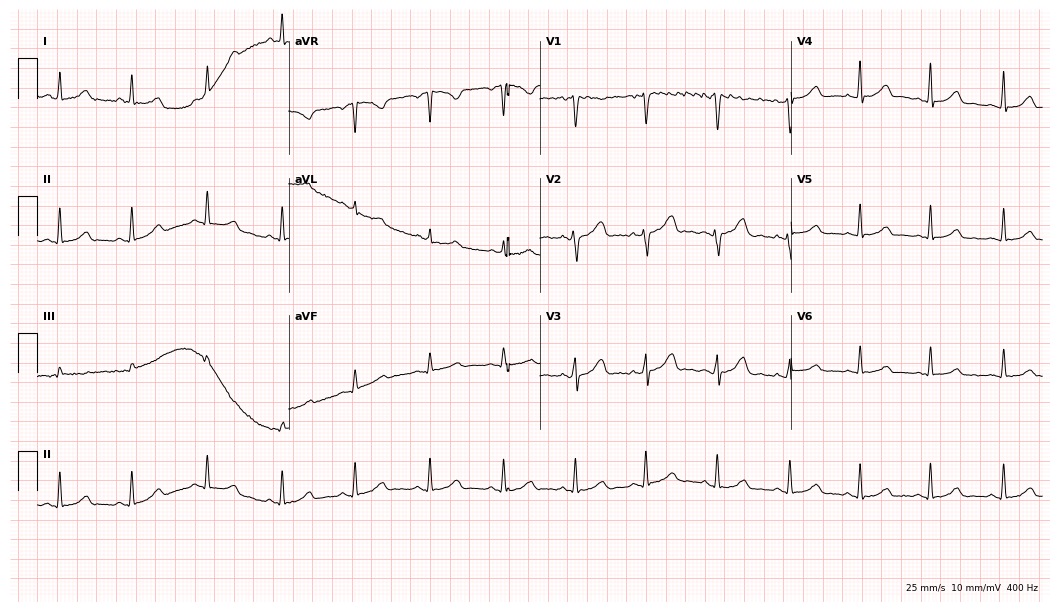
Resting 12-lead electrocardiogram. Patient: a woman, 38 years old. None of these six findings is recorded: first-degree AV block, right bundle branch block, left bundle branch block, sinus bradycardia, atrial fibrillation, sinus tachycardia. Other findings, if any, are not listed.